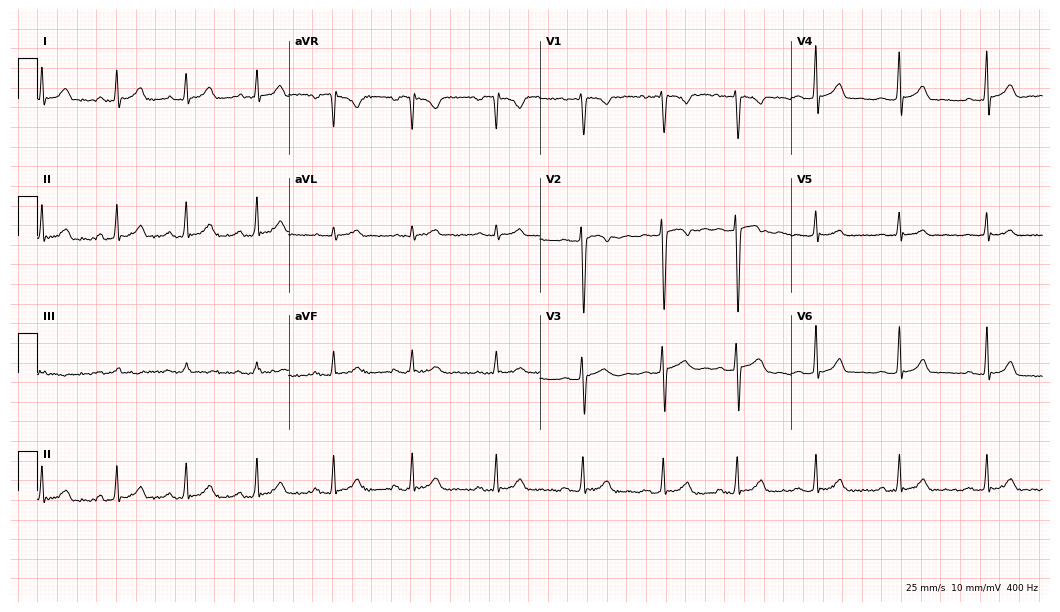
Resting 12-lead electrocardiogram (10.2-second recording at 400 Hz). Patient: a 26-year-old female. Read as a normal ECG.